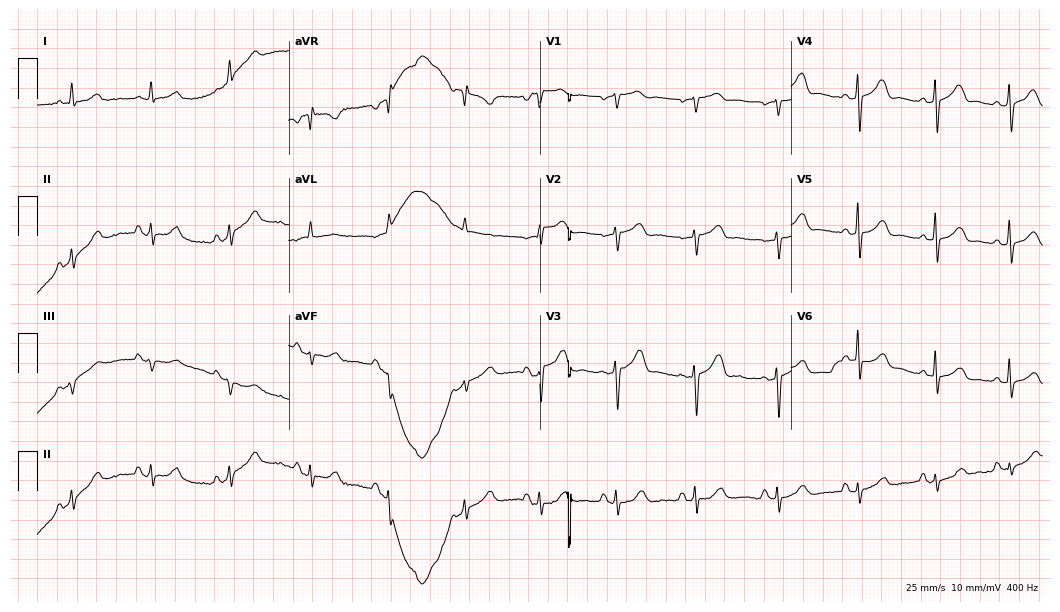
12-lead ECG from a 60-year-old woman (10.2-second recording at 400 Hz). Recorded interpretation: within normal limits.